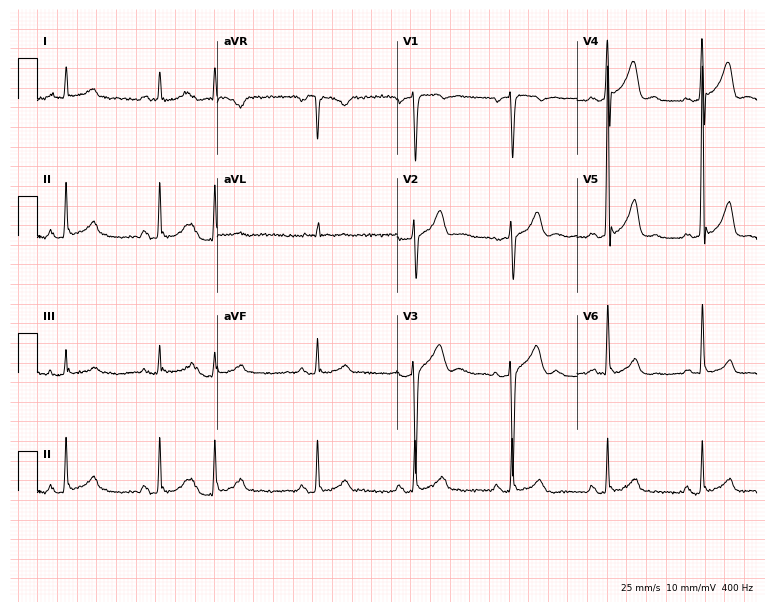
ECG — a 57-year-old male patient. Screened for six findings — first-degree AV block, right bundle branch block, left bundle branch block, sinus bradycardia, atrial fibrillation, sinus tachycardia — none is recorded.